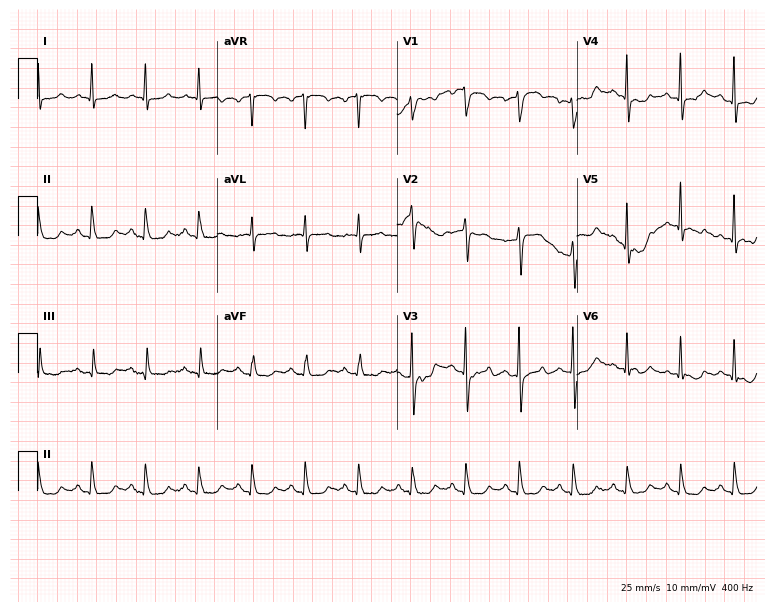
12-lead ECG from a man, 69 years old (7.3-second recording at 400 Hz). Shows sinus tachycardia (a sinus rate of 100 beats per minute or more).